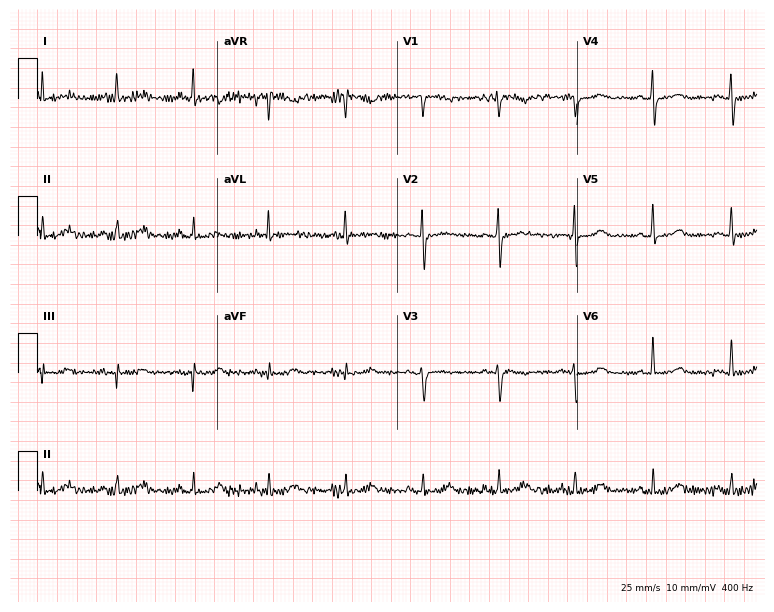
12-lead ECG from a 40-year-old female. Labelled as a normal ECG.